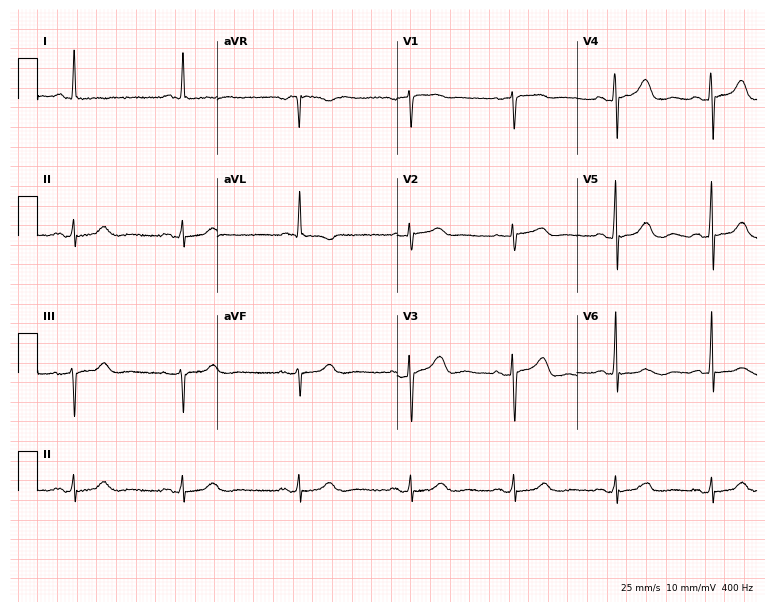
ECG (7.3-second recording at 400 Hz) — a female patient, 75 years old. Screened for six findings — first-degree AV block, right bundle branch block (RBBB), left bundle branch block (LBBB), sinus bradycardia, atrial fibrillation (AF), sinus tachycardia — none is recorded.